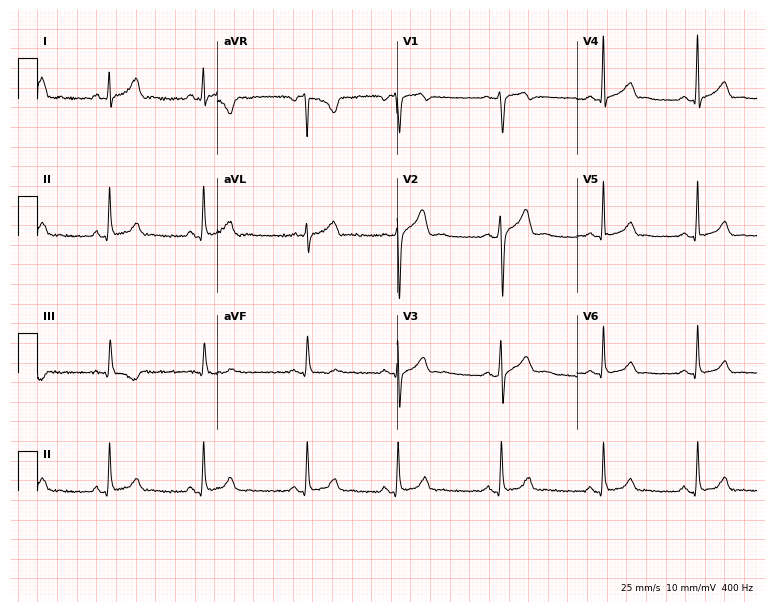
Resting 12-lead electrocardiogram. Patient: a 40-year-old female. Read as a normal ECG.